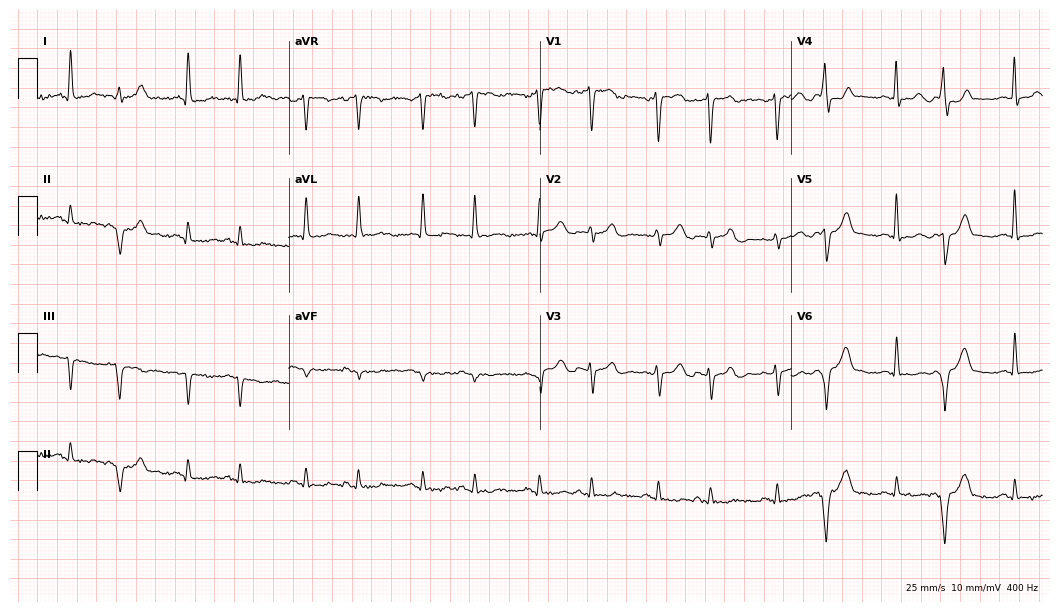
Standard 12-lead ECG recorded from a 51-year-old woman (10.2-second recording at 400 Hz). None of these six findings is recorded: first-degree AV block, right bundle branch block, left bundle branch block, sinus bradycardia, atrial fibrillation, sinus tachycardia.